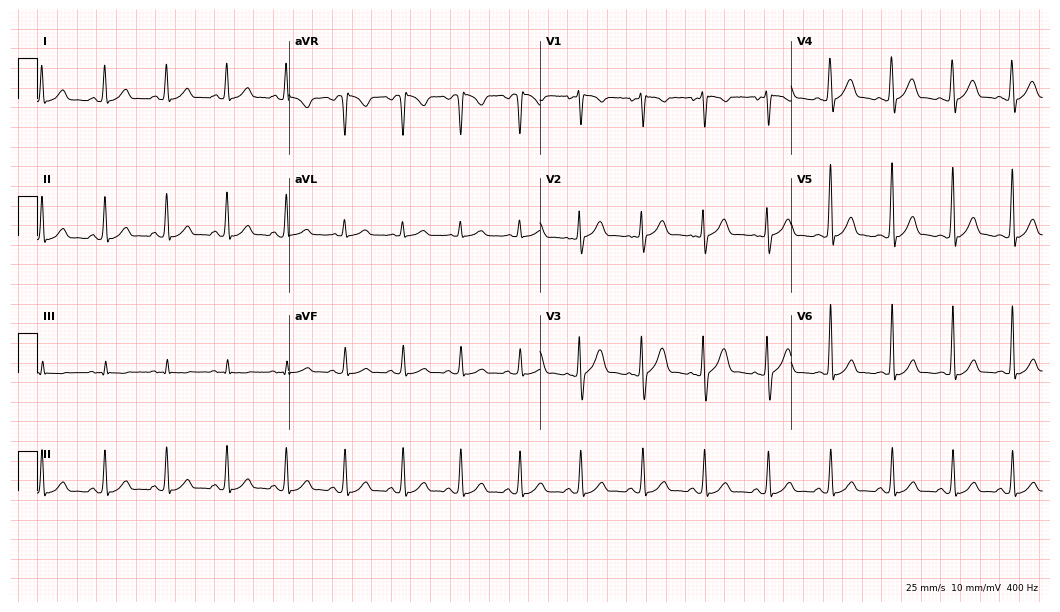
12-lead ECG from a 29-year-old man. Screened for six findings — first-degree AV block, right bundle branch block, left bundle branch block, sinus bradycardia, atrial fibrillation, sinus tachycardia — none is recorded.